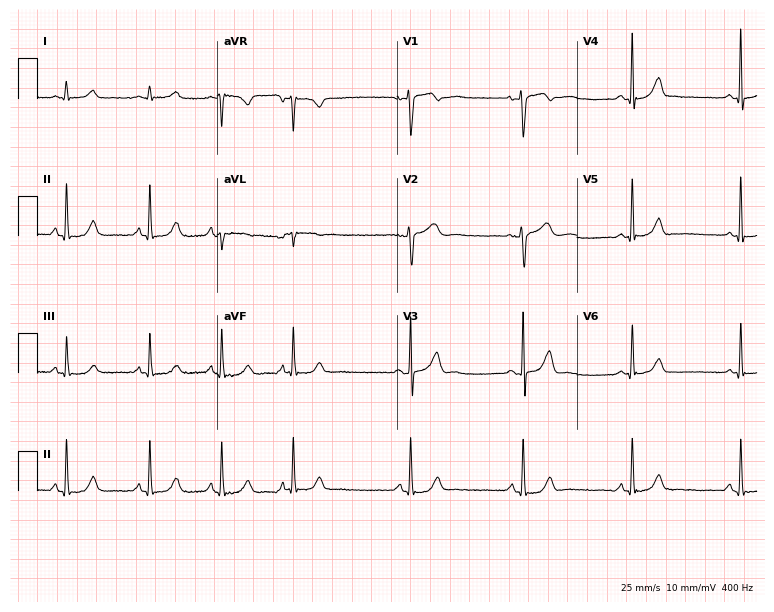
ECG (7.3-second recording at 400 Hz) — a female patient, 20 years old. Labelled as a normal ECG.